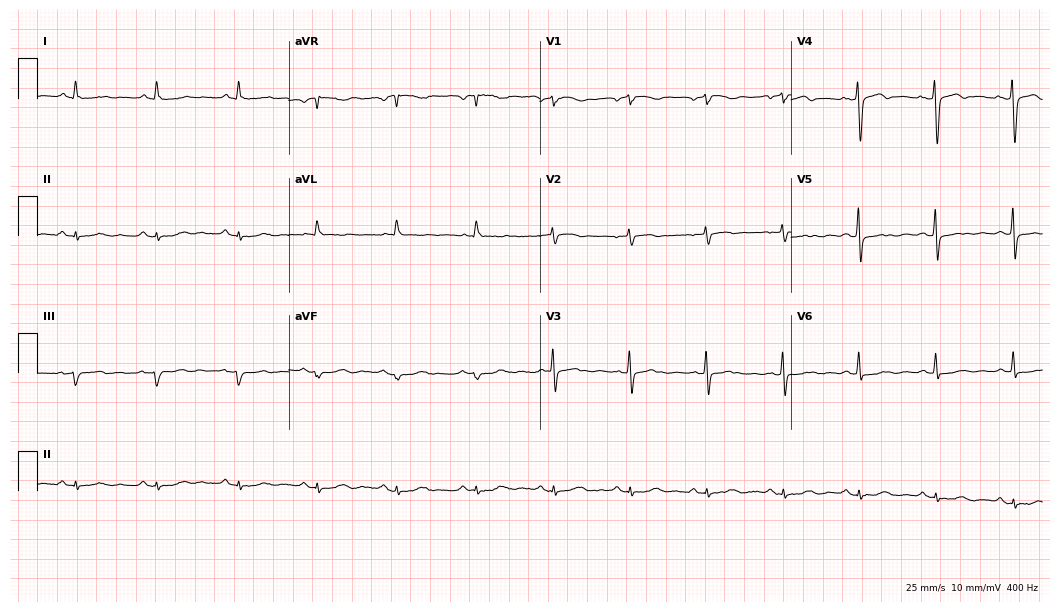
Resting 12-lead electrocardiogram (10.2-second recording at 400 Hz). Patient: a 77-year-old female. None of these six findings is recorded: first-degree AV block, right bundle branch block, left bundle branch block, sinus bradycardia, atrial fibrillation, sinus tachycardia.